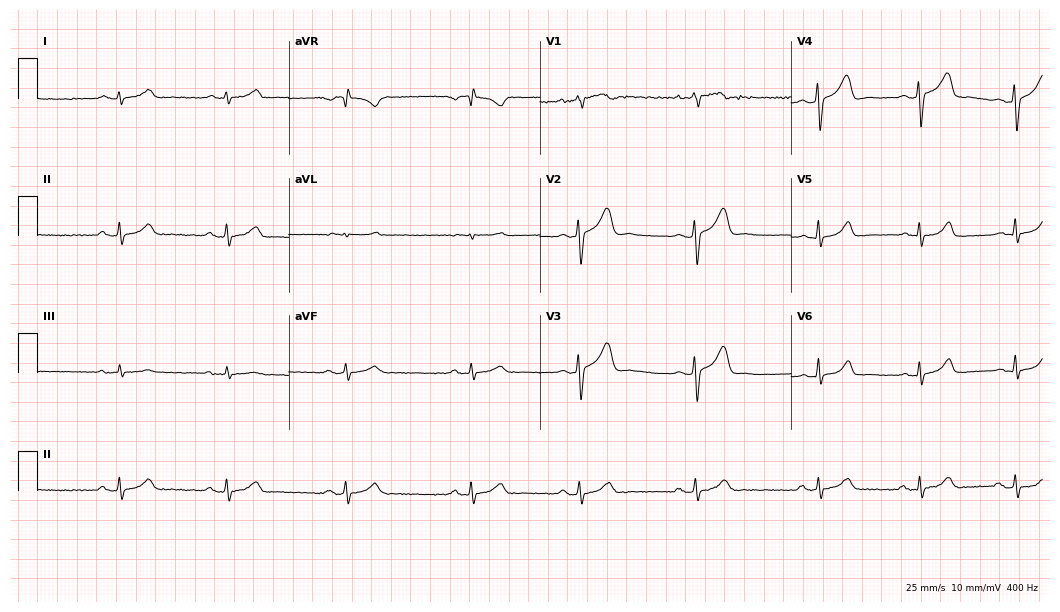
Resting 12-lead electrocardiogram (10.2-second recording at 400 Hz). Patient: a man, 24 years old. Read as a normal ECG.